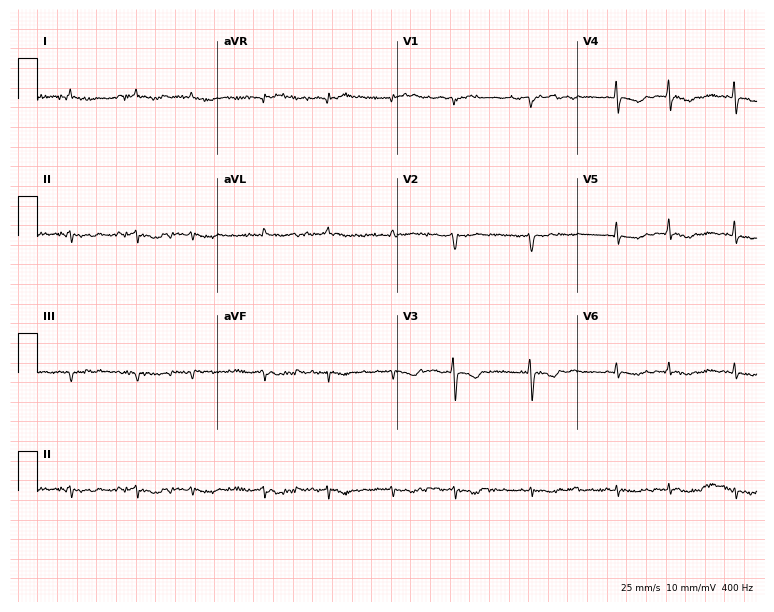
Standard 12-lead ECG recorded from an 81-year-old female. The tracing shows atrial fibrillation (AF).